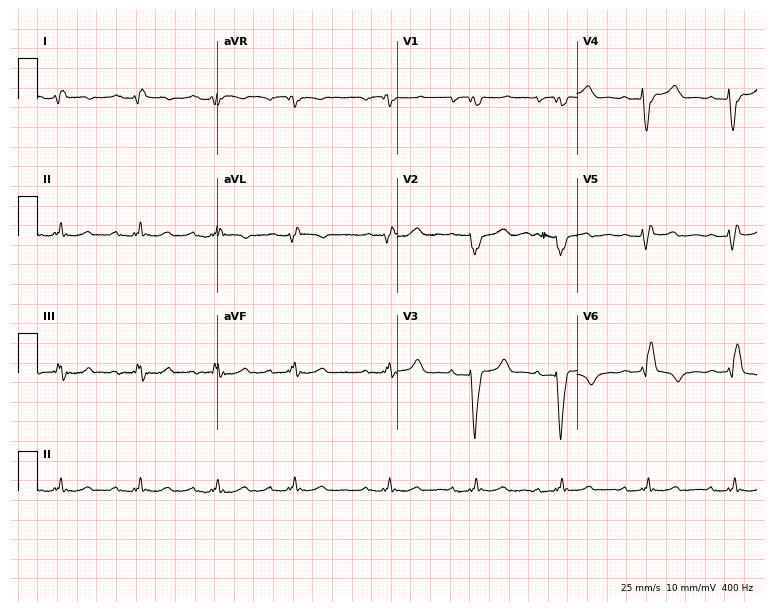
12-lead ECG from a woman, 67 years old. Screened for six findings — first-degree AV block, right bundle branch block, left bundle branch block, sinus bradycardia, atrial fibrillation, sinus tachycardia — none is recorded.